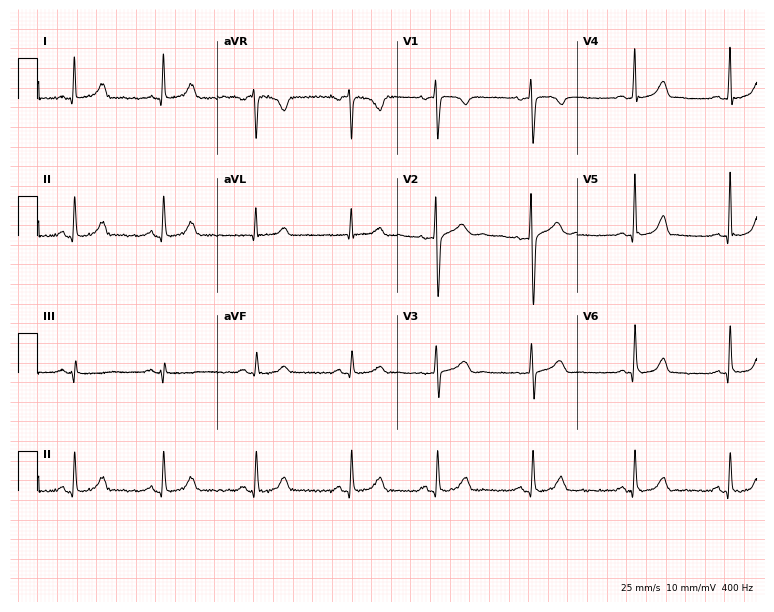
ECG — a female, 41 years old. Labelled as a normal ECG.